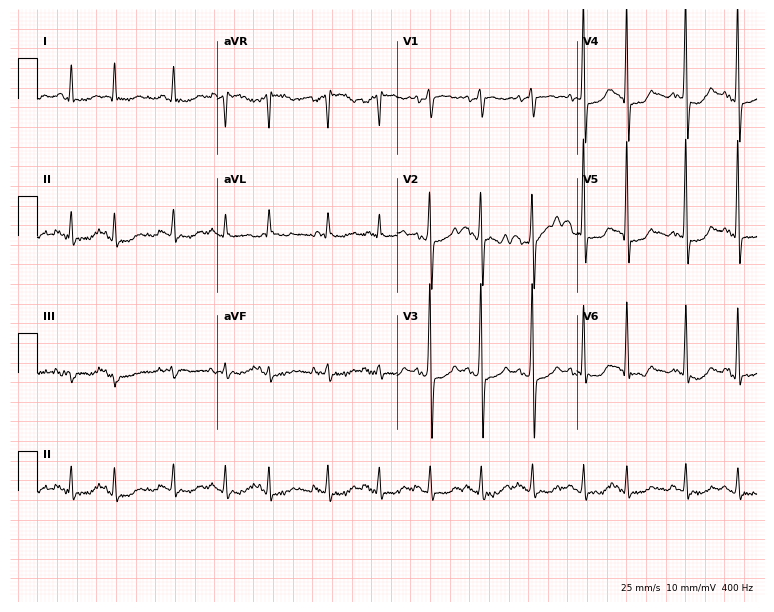
Electrocardiogram (7.3-second recording at 400 Hz), a 69-year-old man. Of the six screened findings (first-degree AV block, right bundle branch block, left bundle branch block, sinus bradycardia, atrial fibrillation, sinus tachycardia), none is recorded. Other findings, if any, are not listed.